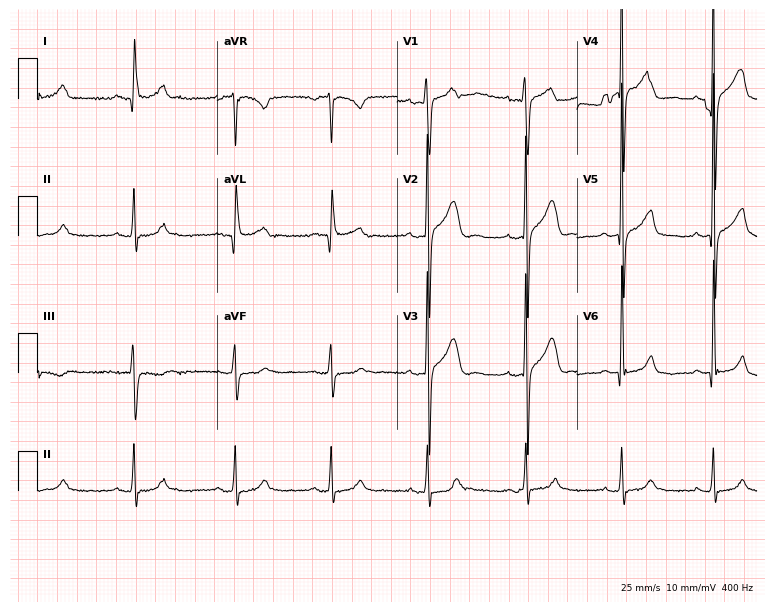
Electrocardiogram (7.3-second recording at 400 Hz), a man, 58 years old. Of the six screened findings (first-degree AV block, right bundle branch block, left bundle branch block, sinus bradycardia, atrial fibrillation, sinus tachycardia), none is recorded. Only these six findings were labelled.